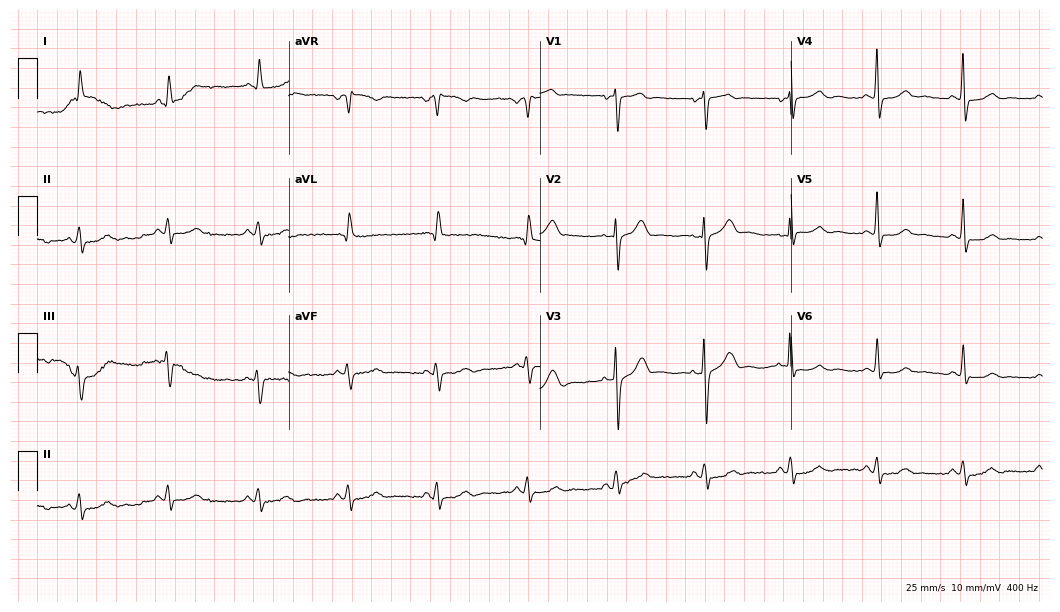
ECG (10.2-second recording at 400 Hz) — a female, 68 years old. Labelled as a normal ECG.